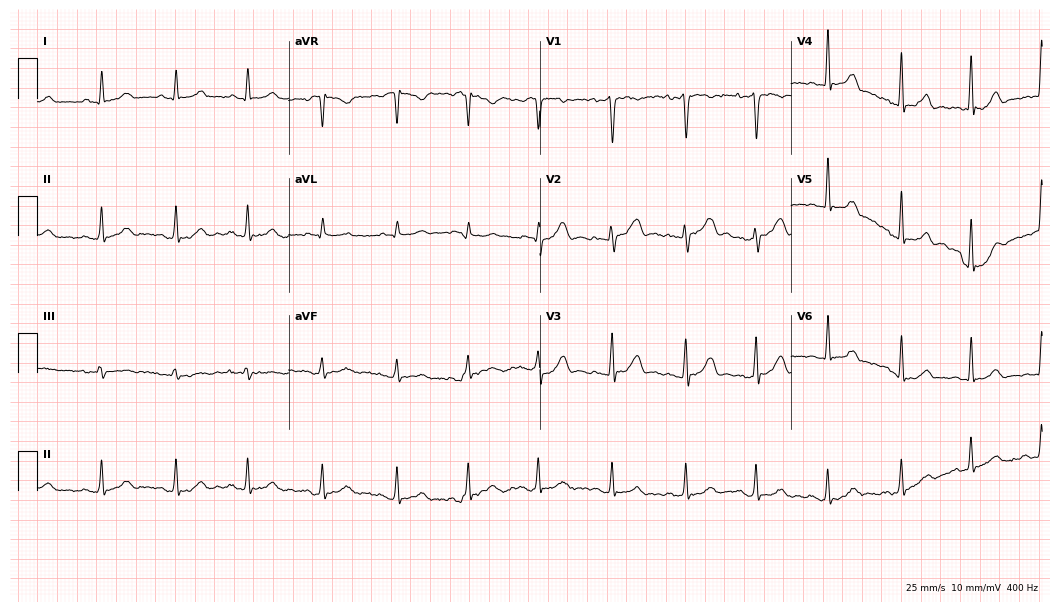
ECG — a female patient, 25 years old. Labelled as a normal ECG.